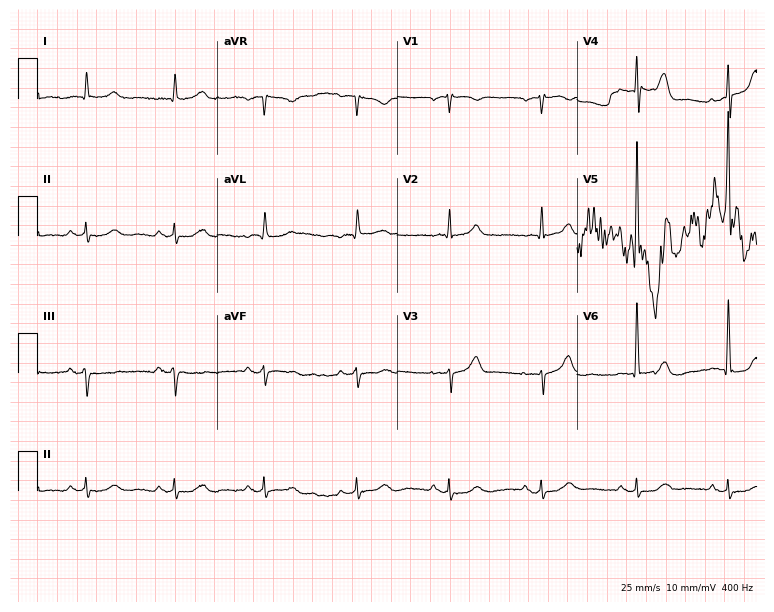
Standard 12-lead ECG recorded from a man, 84 years old (7.3-second recording at 400 Hz). None of these six findings is recorded: first-degree AV block, right bundle branch block (RBBB), left bundle branch block (LBBB), sinus bradycardia, atrial fibrillation (AF), sinus tachycardia.